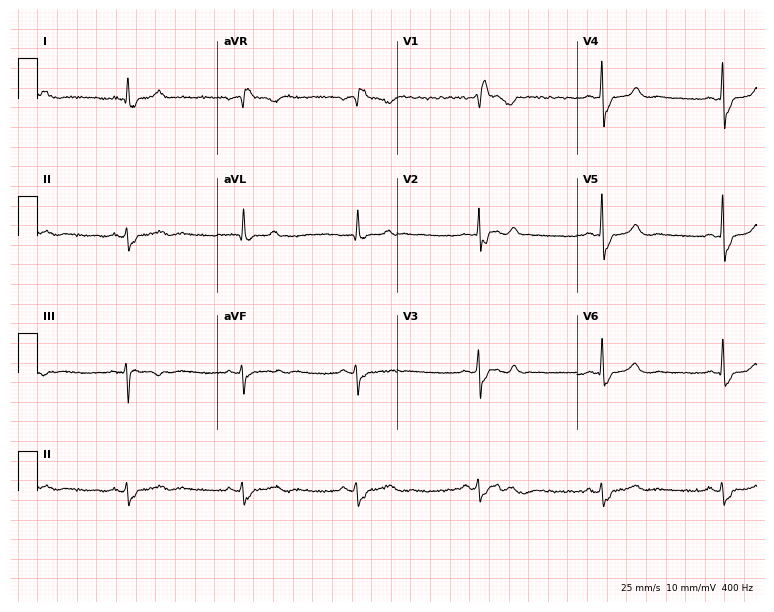
Resting 12-lead electrocardiogram (7.3-second recording at 400 Hz). Patient: a 46-year-old female. The tracing shows right bundle branch block.